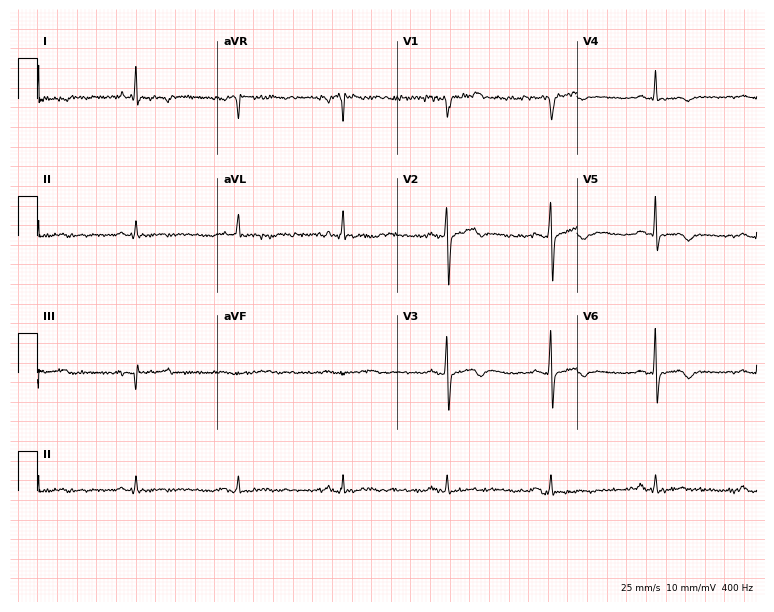
12-lead ECG from a male, 67 years old (7.3-second recording at 400 Hz). No first-degree AV block, right bundle branch block, left bundle branch block, sinus bradycardia, atrial fibrillation or sinus tachycardia recorded for this tracing.